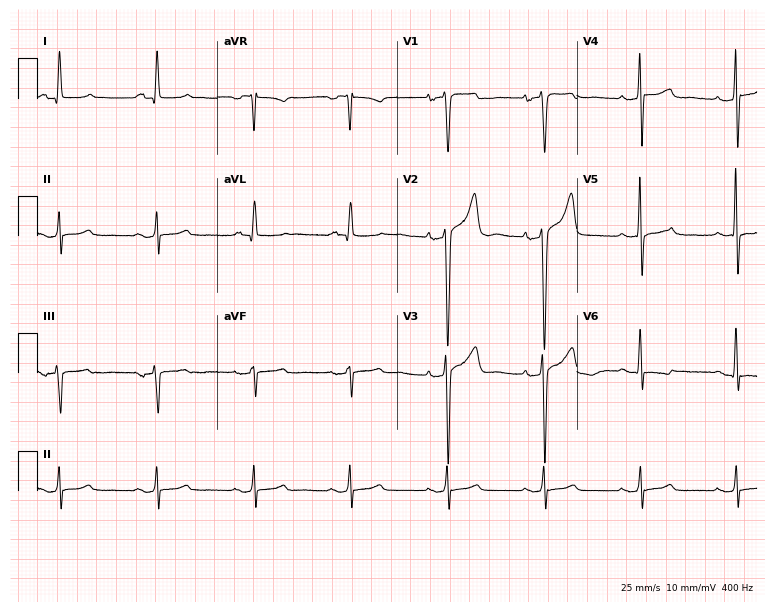
Resting 12-lead electrocardiogram. Patient: a male, 50 years old. Read as a normal ECG.